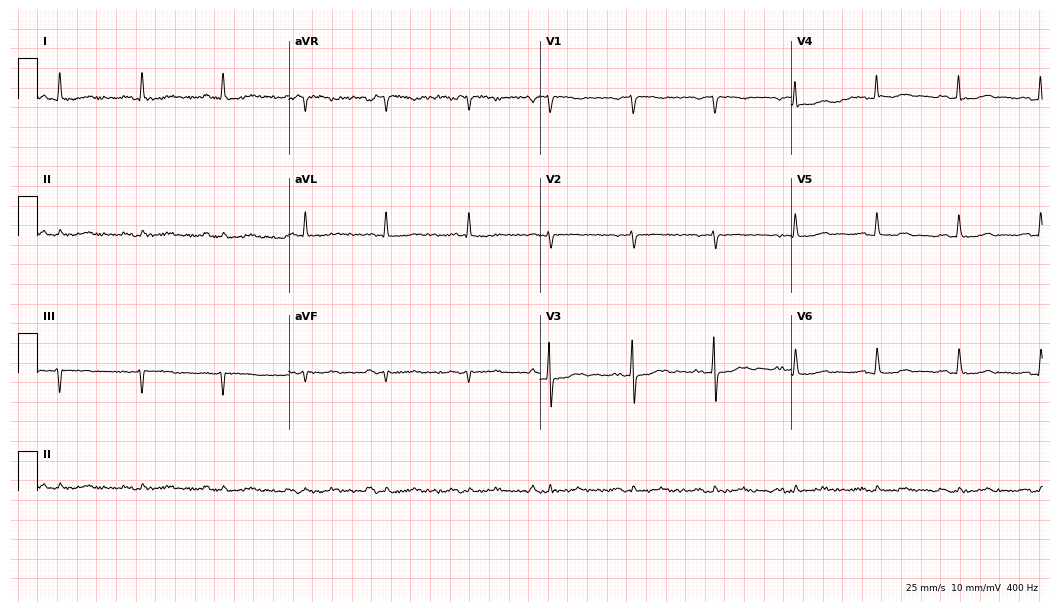
Standard 12-lead ECG recorded from a woman, 82 years old. None of these six findings is recorded: first-degree AV block, right bundle branch block (RBBB), left bundle branch block (LBBB), sinus bradycardia, atrial fibrillation (AF), sinus tachycardia.